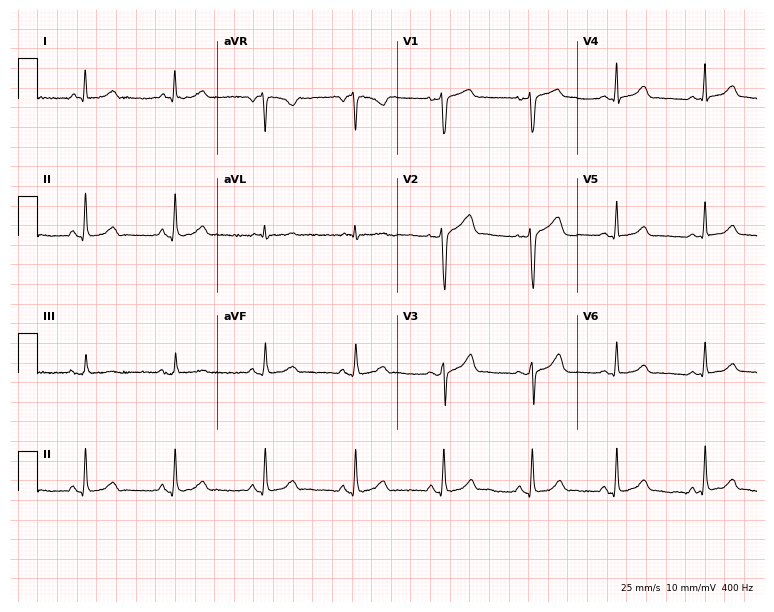
Electrocardiogram, a 60-year-old woman. Overall reading on record: normal ECG.